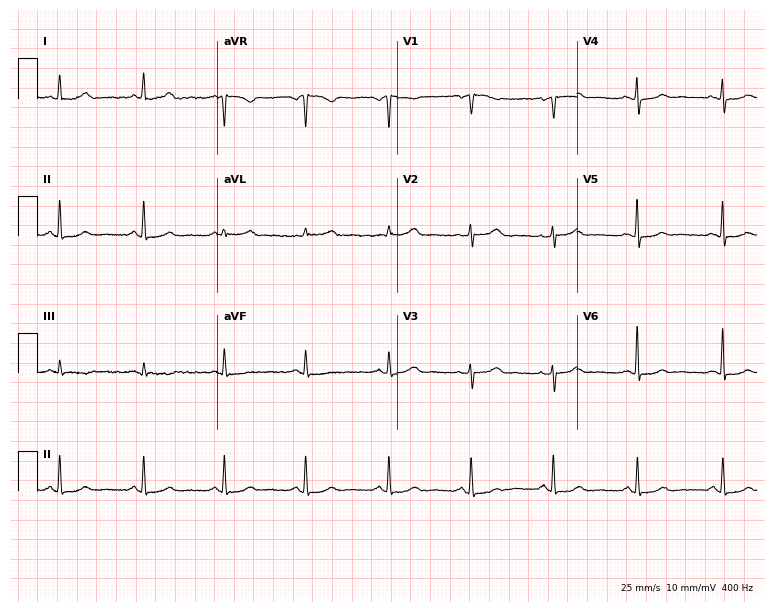
12-lead ECG from a 52-year-old female patient. Screened for six findings — first-degree AV block, right bundle branch block (RBBB), left bundle branch block (LBBB), sinus bradycardia, atrial fibrillation (AF), sinus tachycardia — none is recorded. Findings outside these six are not listed.